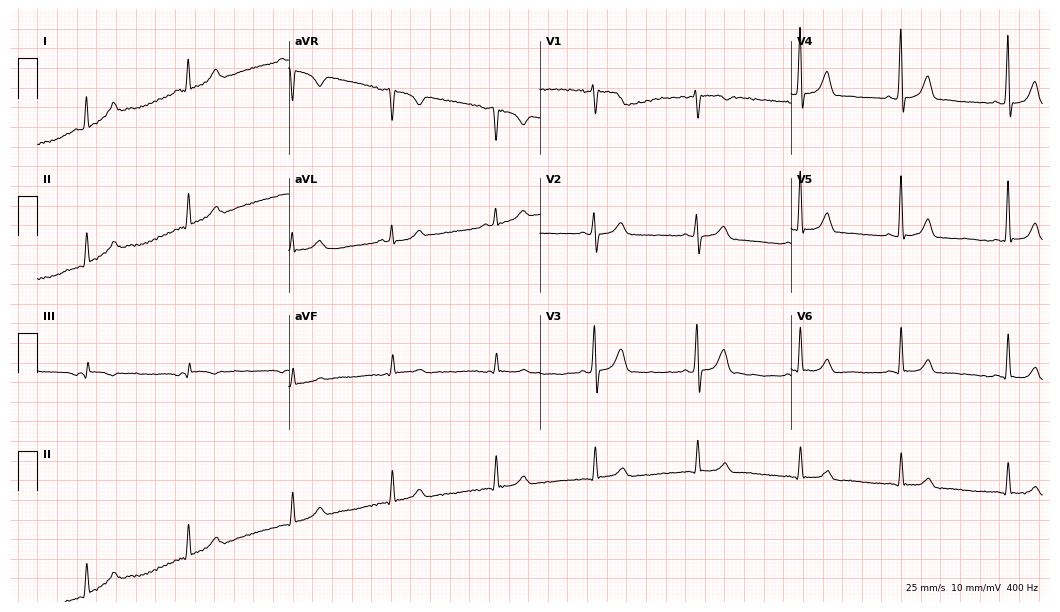
Resting 12-lead electrocardiogram (10.2-second recording at 400 Hz). Patient: a male, 57 years old. Read as a normal ECG.